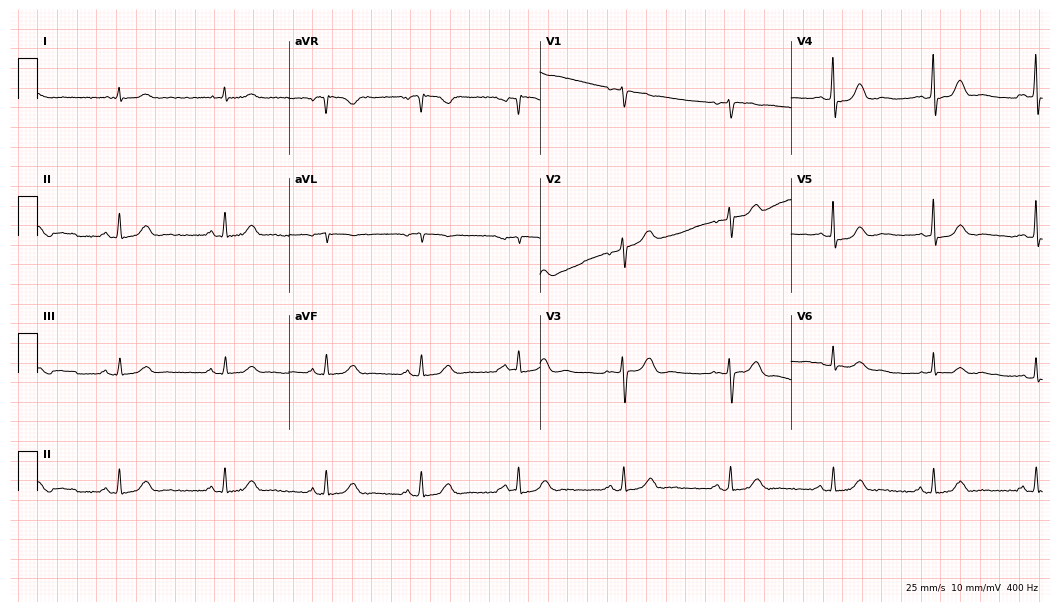
12-lead ECG (10.2-second recording at 400 Hz) from a female patient, 62 years old. Labelled as a normal ECG.